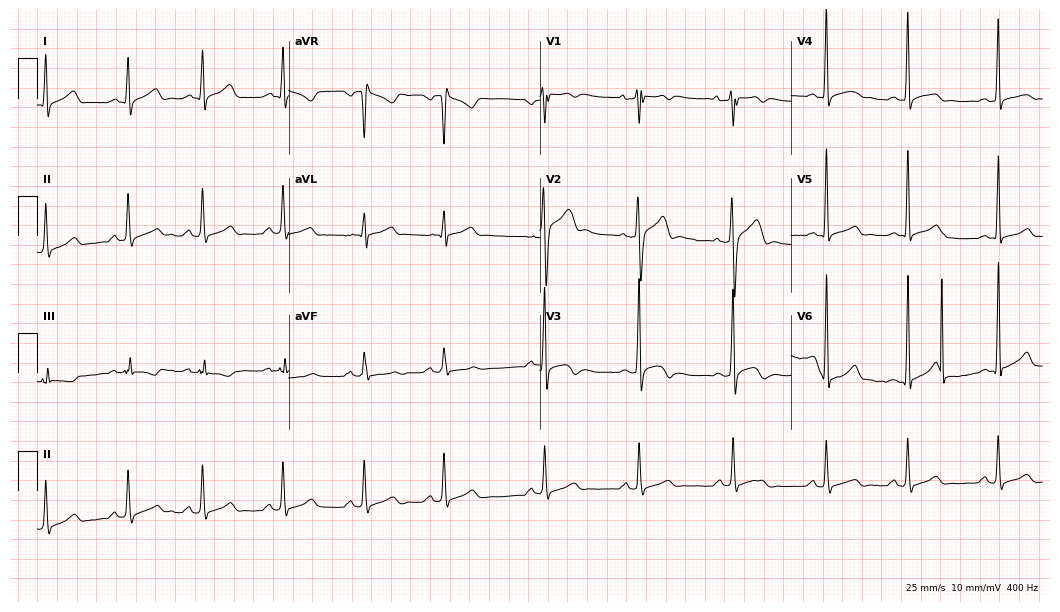
12-lead ECG from a male, 18 years old (10.2-second recording at 400 Hz). No first-degree AV block, right bundle branch block, left bundle branch block, sinus bradycardia, atrial fibrillation or sinus tachycardia recorded for this tracing.